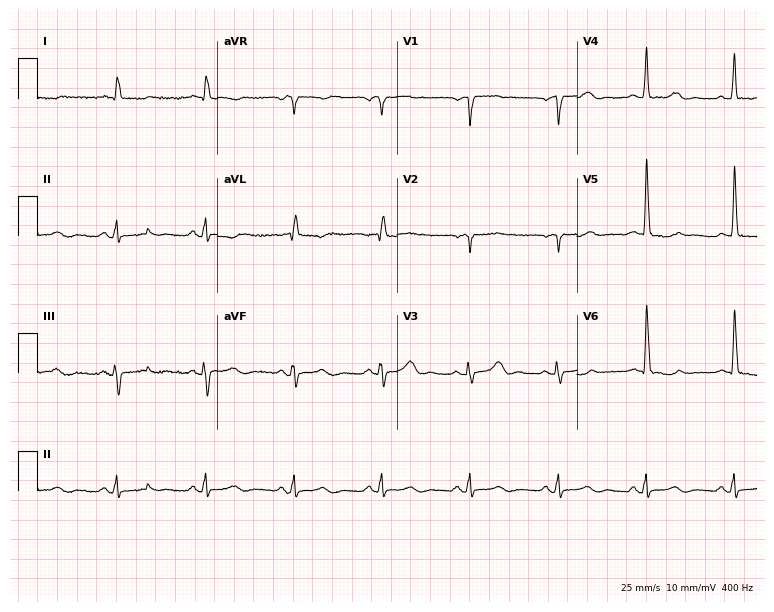
12-lead ECG from a 64-year-old woman (7.3-second recording at 400 Hz). Recorded interpretation: within normal limits.